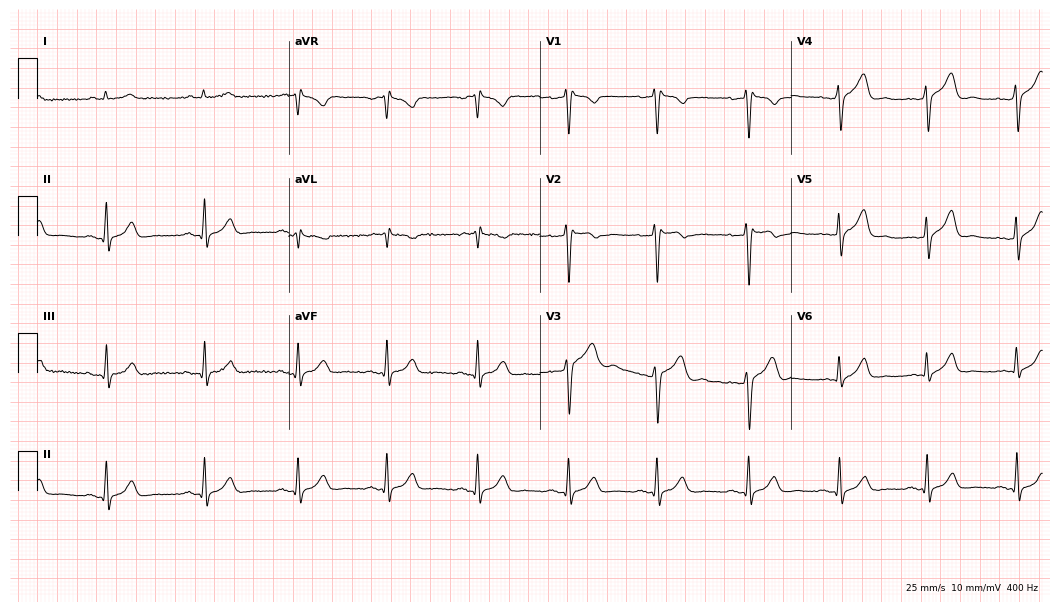
12-lead ECG from a male patient, 31 years old (10.2-second recording at 400 Hz). Recorded interpretation: within normal limits.